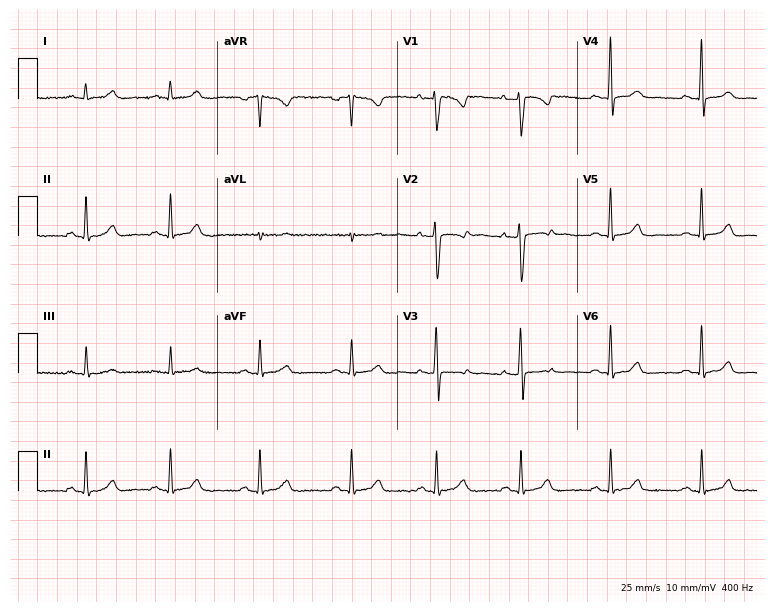
12-lead ECG from a female patient, 32 years old. No first-degree AV block, right bundle branch block (RBBB), left bundle branch block (LBBB), sinus bradycardia, atrial fibrillation (AF) or sinus tachycardia recorded for this tracing.